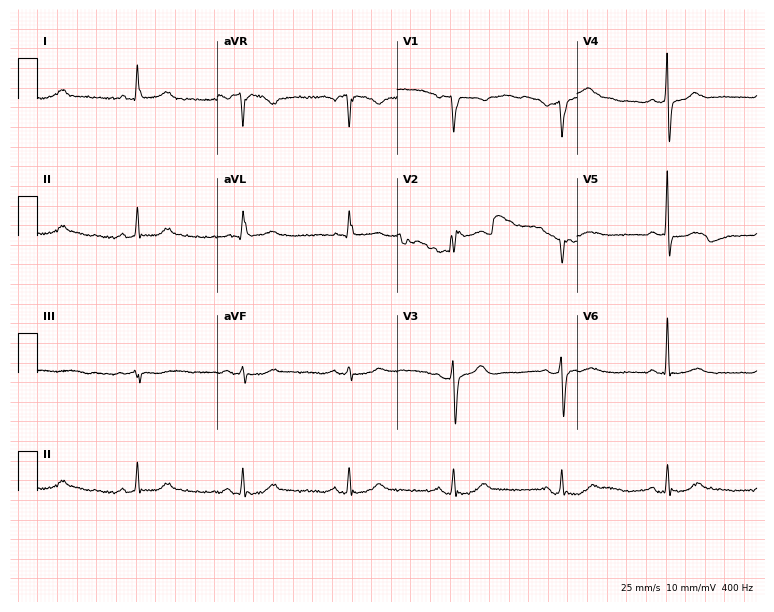
ECG (7.3-second recording at 400 Hz) — a 65-year-old man. Screened for six findings — first-degree AV block, right bundle branch block, left bundle branch block, sinus bradycardia, atrial fibrillation, sinus tachycardia — none is recorded. Findings outside these six are not listed.